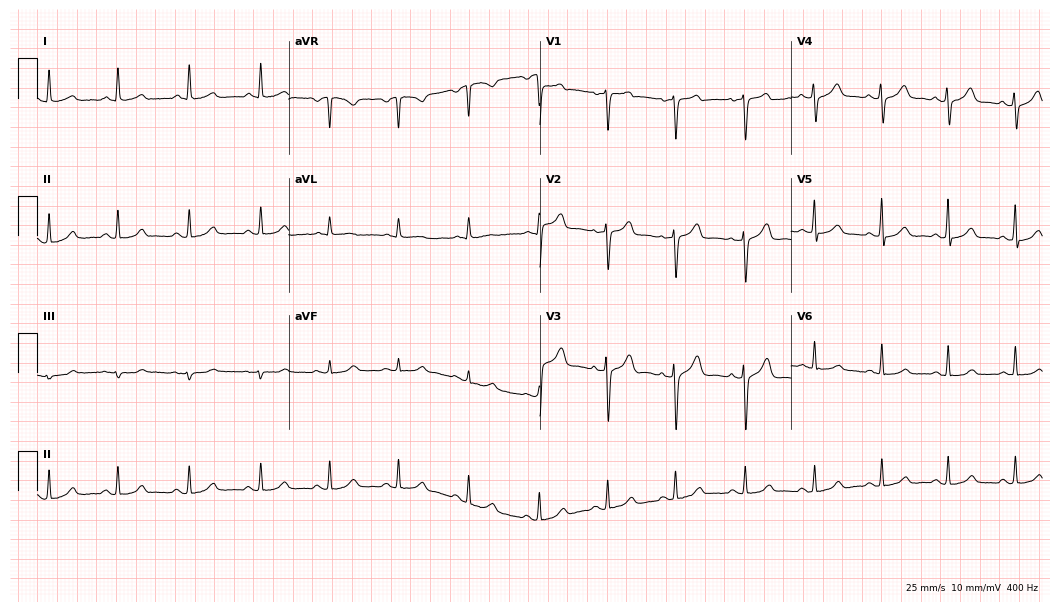
Electrocardiogram (10.2-second recording at 400 Hz), a 56-year-old female. Overall reading on record: normal ECG.